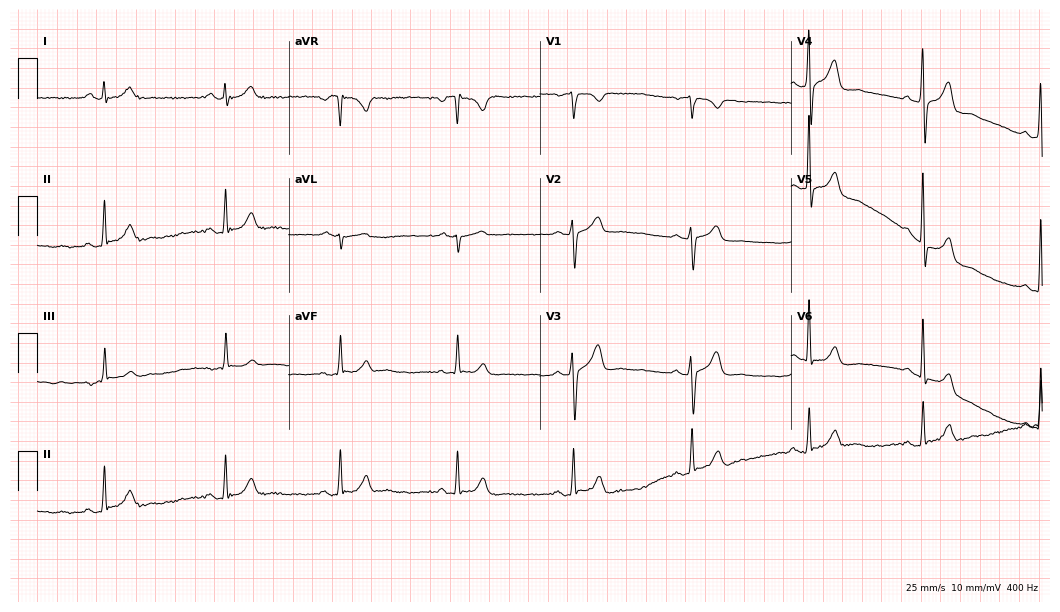
Resting 12-lead electrocardiogram (10.2-second recording at 400 Hz). Patient: a 45-year-old man. None of these six findings is recorded: first-degree AV block, right bundle branch block, left bundle branch block, sinus bradycardia, atrial fibrillation, sinus tachycardia. Other findings, if any, are not listed.